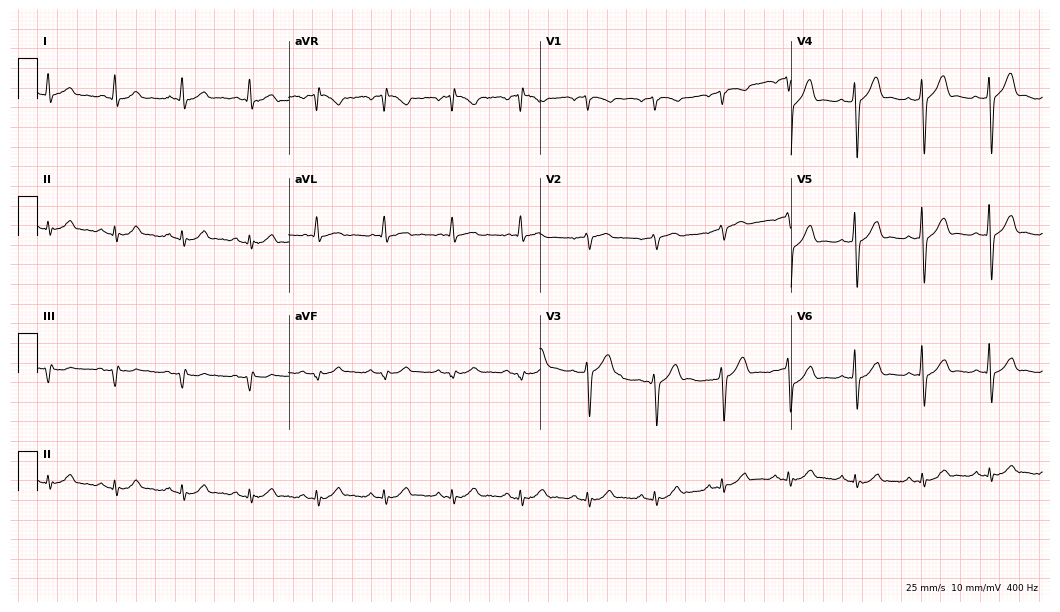
Resting 12-lead electrocardiogram. Patient: a 63-year-old man. None of these six findings is recorded: first-degree AV block, right bundle branch block (RBBB), left bundle branch block (LBBB), sinus bradycardia, atrial fibrillation (AF), sinus tachycardia.